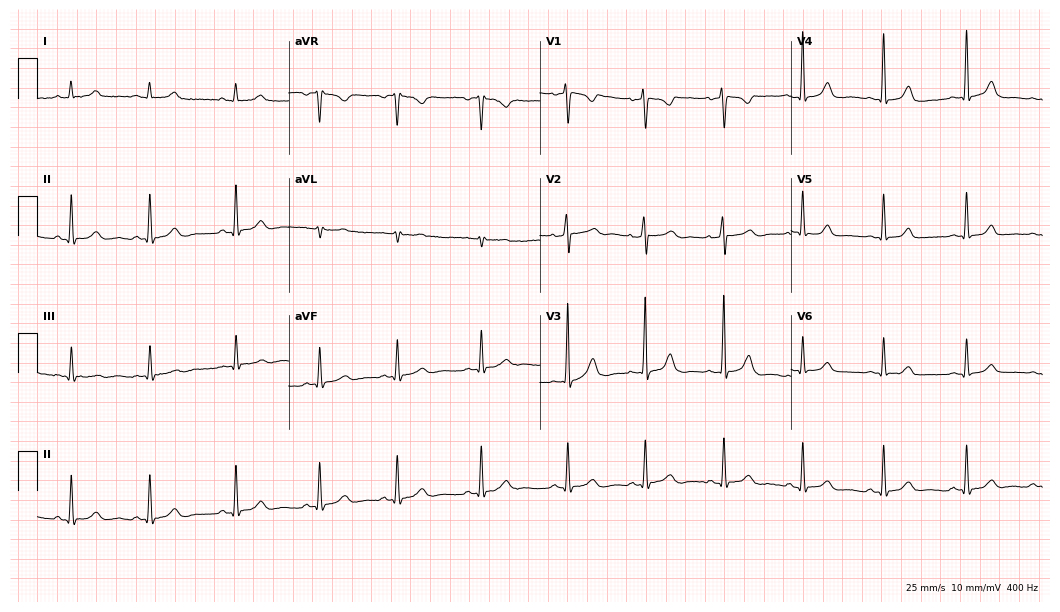
12-lead ECG from a 39-year-old female patient. No first-degree AV block, right bundle branch block (RBBB), left bundle branch block (LBBB), sinus bradycardia, atrial fibrillation (AF) or sinus tachycardia recorded for this tracing.